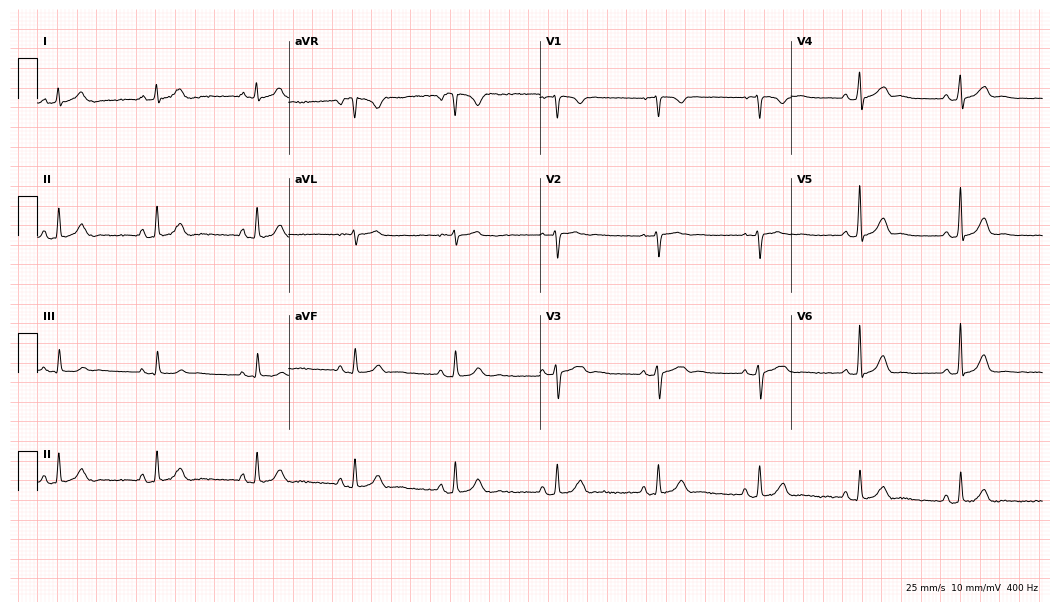
ECG — a 50-year-old female. Labelled as a normal ECG.